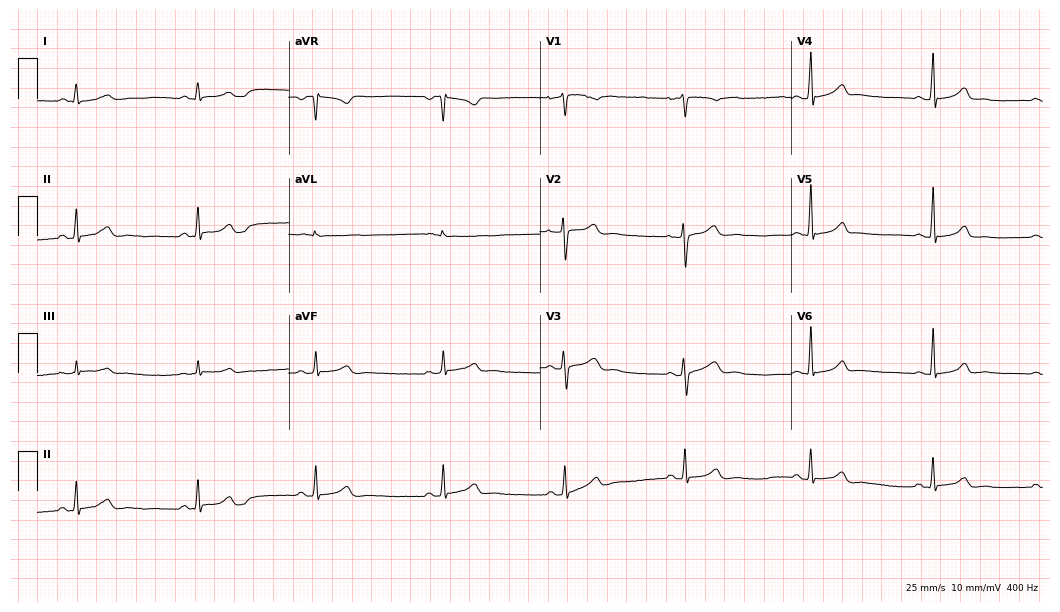
ECG (10.2-second recording at 400 Hz) — a female patient, 21 years old. Findings include sinus bradycardia (a sinus rate of 50 beats per minute or less).